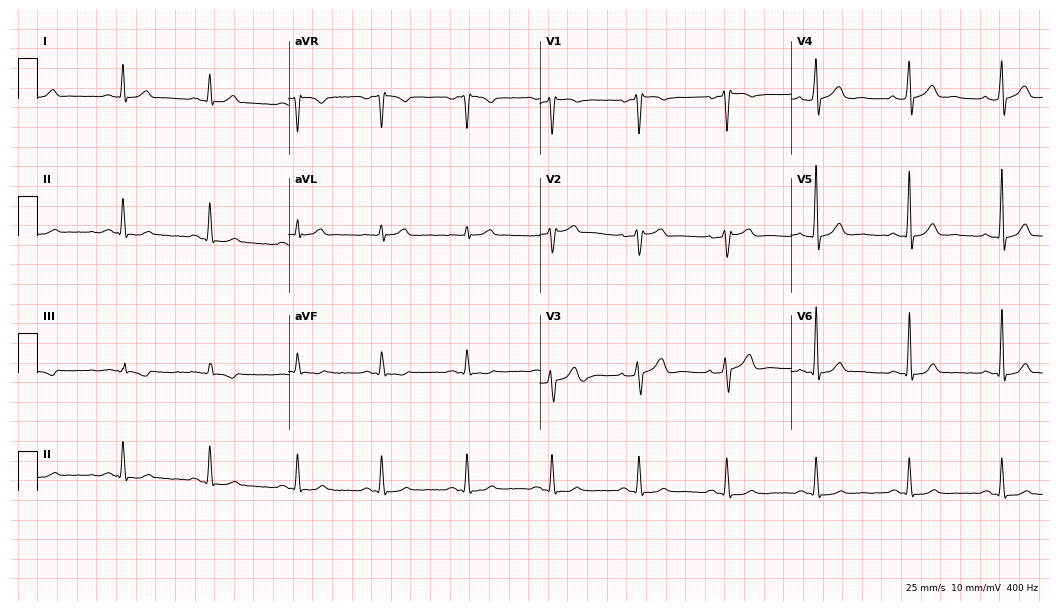
12-lead ECG (10.2-second recording at 400 Hz) from a male patient, 45 years old. Labelled as a normal ECG.